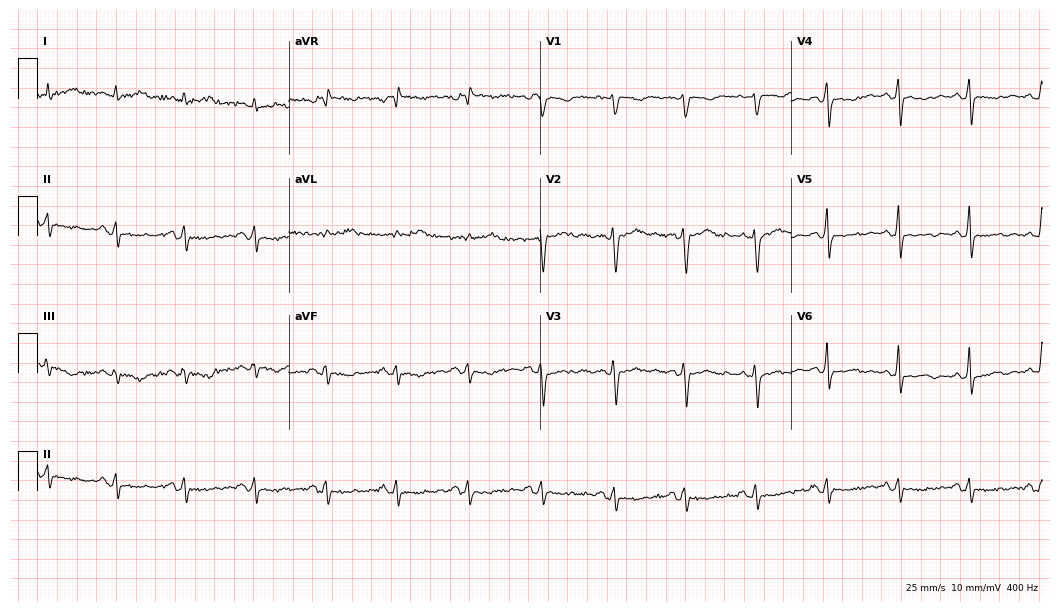
12-lead ECG from a 36-year-old woman. No first-degree AV block, right bundle branch block, left bundle branch block, sinus bradycardia, atrial fibrillation or sinus tachycardia recorded for this tracing.